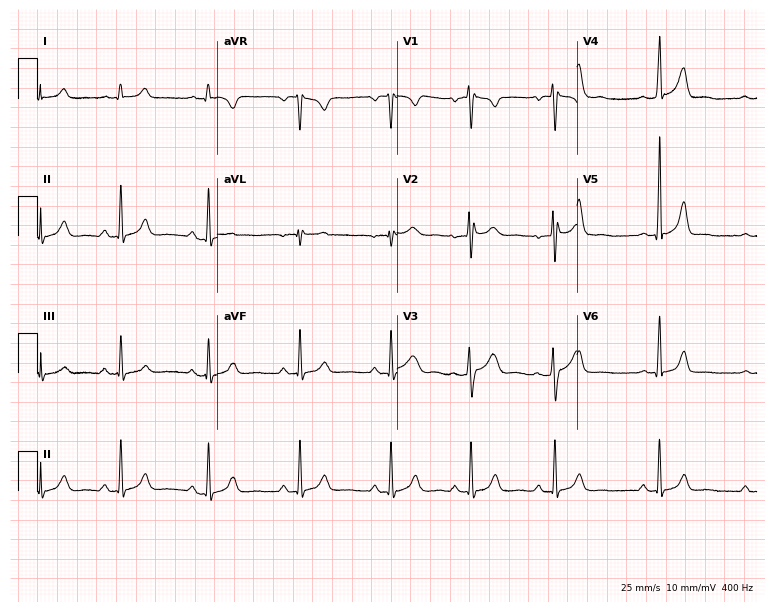
Standard 12-lead ECG recorded from a woman, 27 years old. None of these six findings is recorded: first-degree AV block, right bundle branch block, left bundle branch block, sinus bradycardia, atrial fibrillation, sinus tachycardia.